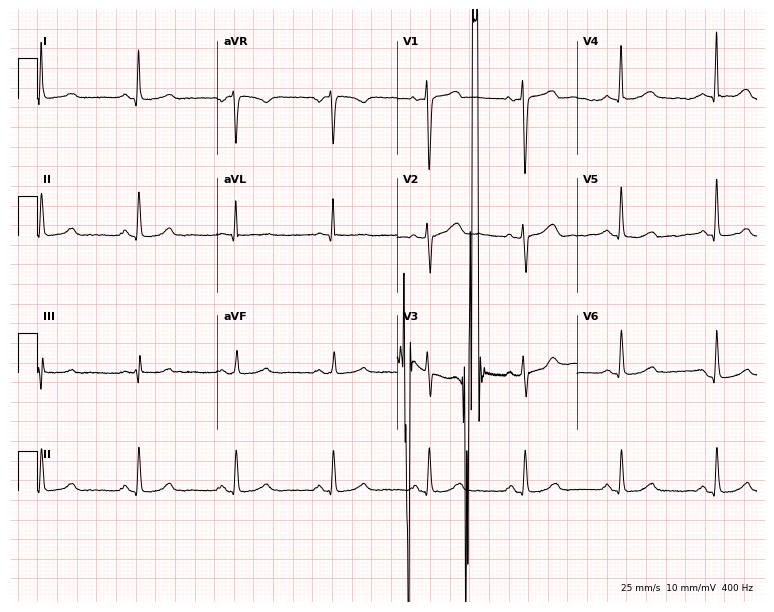
12-lead ECG (7.3-second recording at 400 Hz) from a 51-year-old female patient. Screened for six findings — first-degree AV block, right bundle branch block (RBBB), left bundle branch block (LBBB), sinus bradycardia, atrial fibrillation (AF), sinus tachycardia — none is recorded. Findings outside these six are not listed.